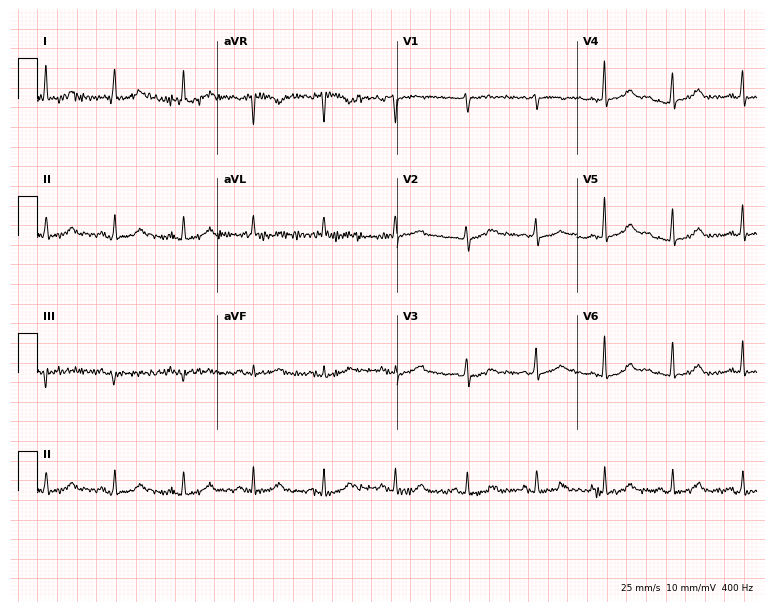
ECG — a woman, 53 years old. Screened for six findings — first-degree AV block, right bundle branch block (RBBB), left bundle branch block (LBBB), sinus bradycardia, atrial fibrillation (AF), sinus tachycardia — none is recorded. Other findings, if any, are not listed.